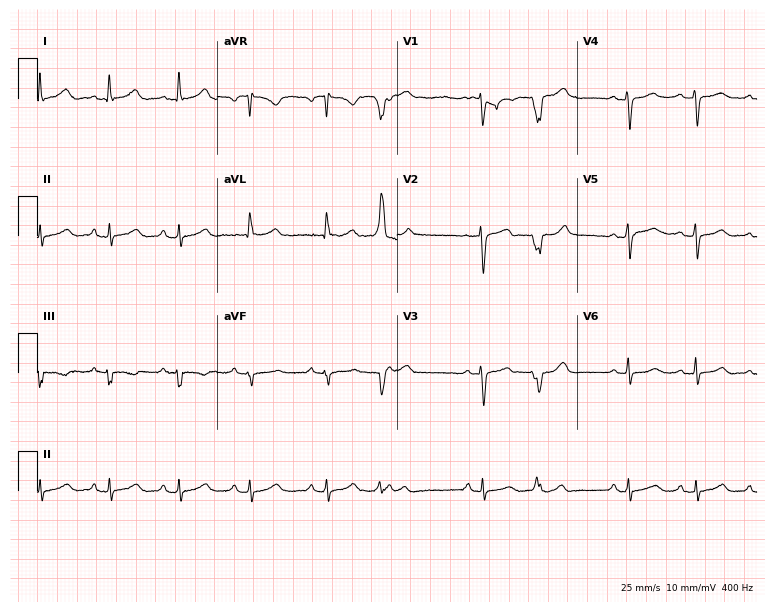
12-lead ECG from a female patient, 49 years old. Screened for six findings — first-degree AV block, right bundle branch block (RBBB), left bundle branch block (LBBB), sinus bradycardia, atrial fibrillation (AF), sinus tachycardia — none is recorded. Findings outside these six are not listed.